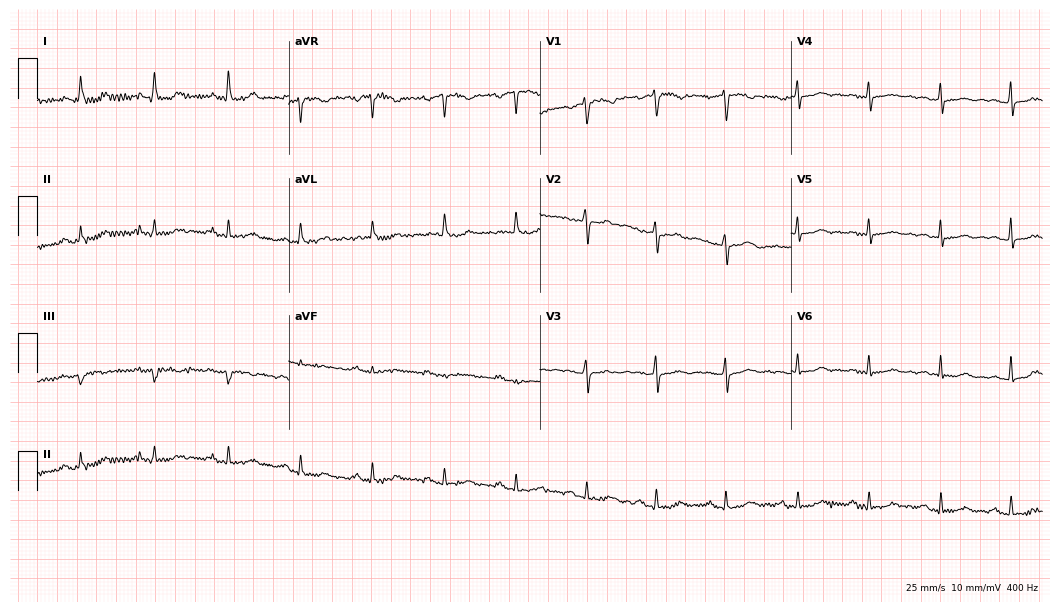
12-lead ECG from a 58-year-old female patient. Labelled as a normal ECG.